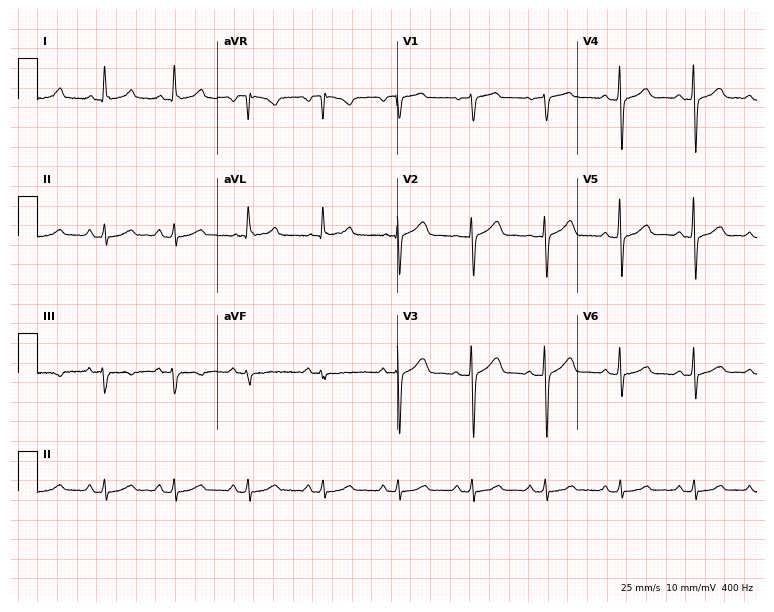
Standard 12-lead ECG recorded from a female patient, 68 years old (7.3-second recording at 400 Hz). Read as a normal ECG.